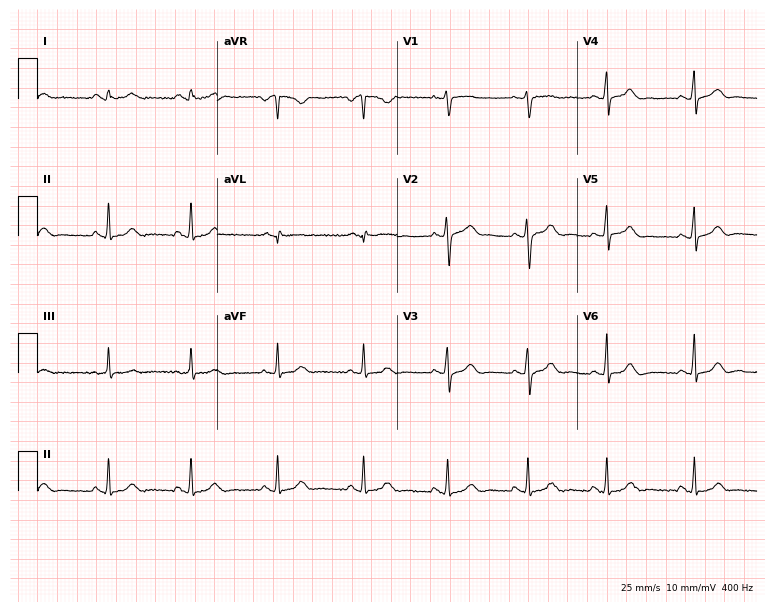
Electrocardiogram (7.3-second recording at 400 Hz), a female, 27 years old. Overall reading on record: normal ECG.